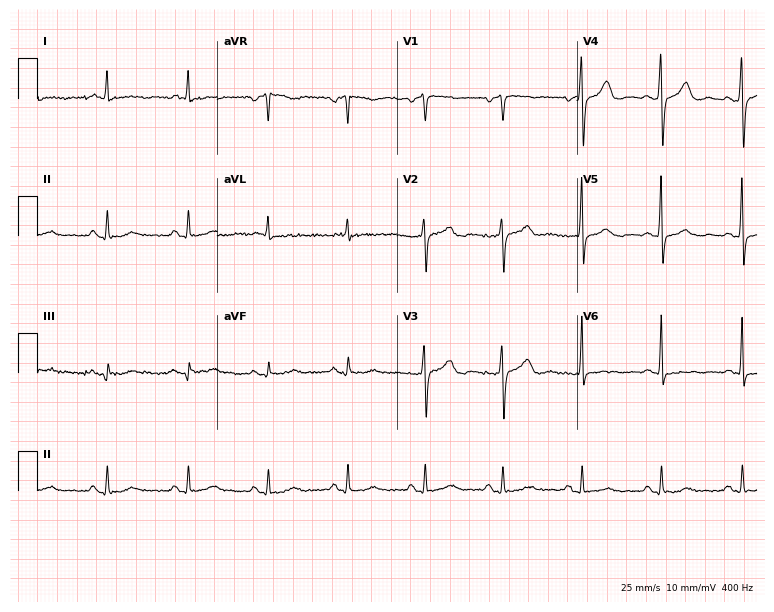
Standard 12-lead ECG recorded from a male, 66 years old (7.3-second recording at 400 Hz). None of these six findings is recorded: first-degree AV block, right bundle branch block, left bundle branch block, sinus bradycardia, atrial fibrillation, sinus tachycardia. Only these six findings were labelled.